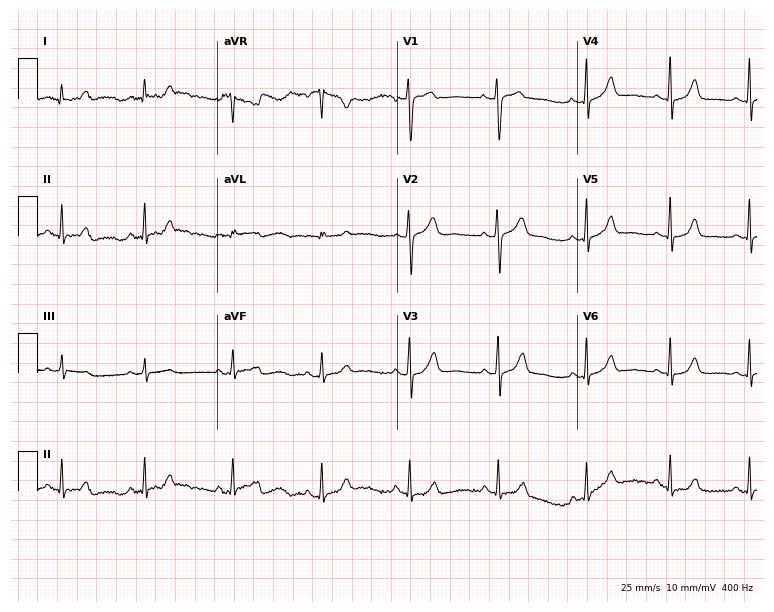
Electrocardiogram (7.3-second recording at 400 Hz), a female, 31 years old. Overall reading on record: normal ECG.